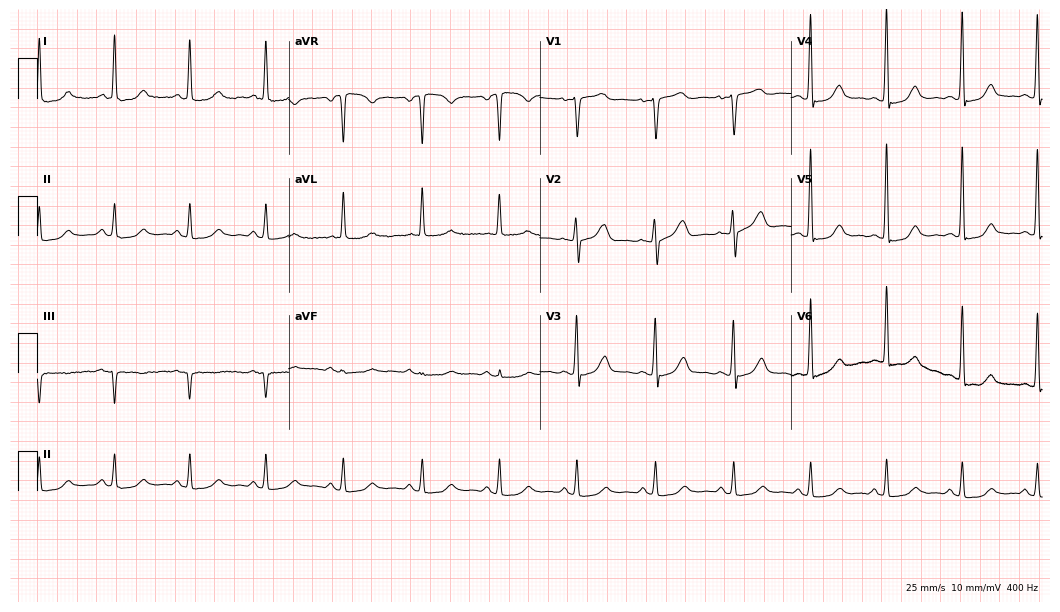
Resting 12-lead electrocardiogram. Patient: a woman, 56 years old. Read as a normal ECG.